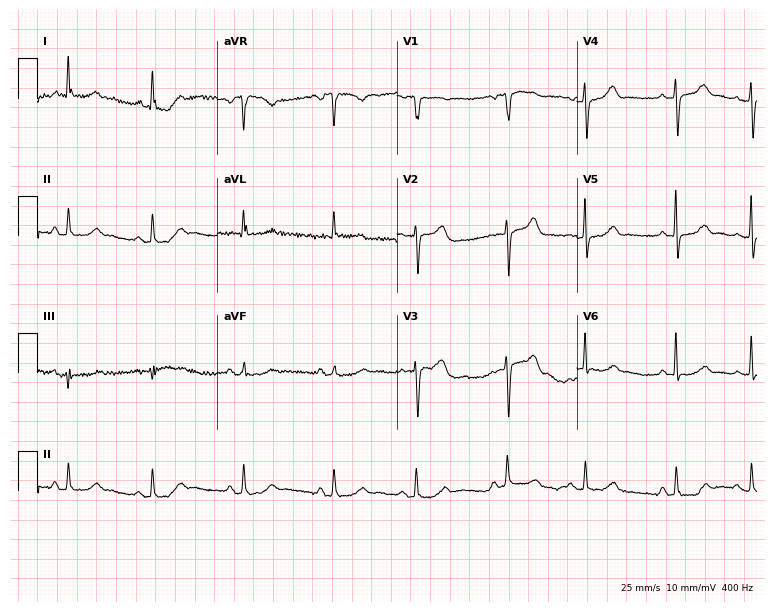
Electrocardiogram, a female, 75 years old. Overall reading on record: normal ECG.